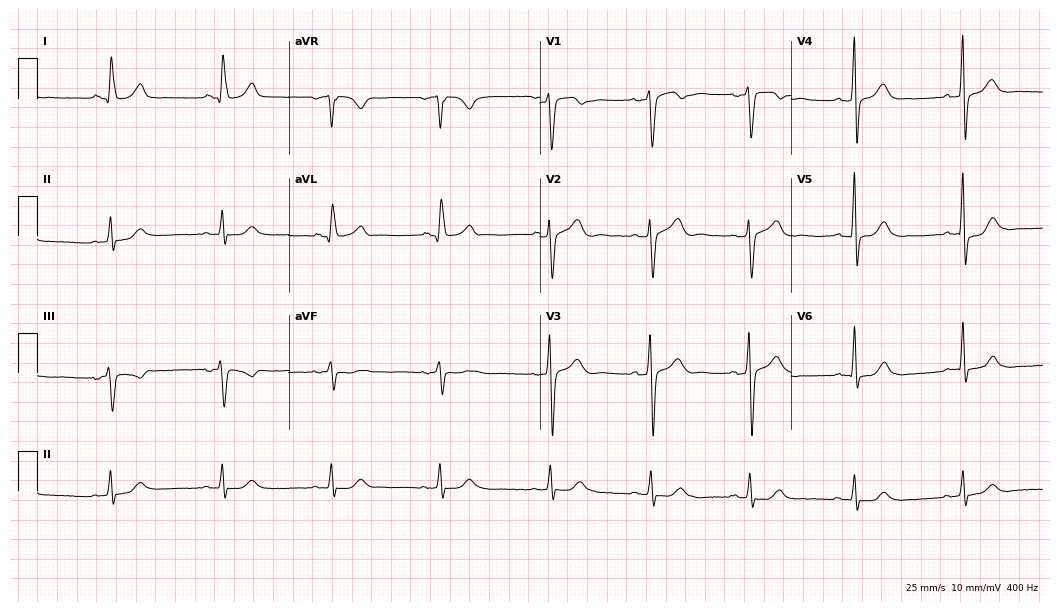
12-lead ECG from a male, 58 years old. Screened for six findings — first-degree AV block, right bundle branch block, left bundle branch block, sinus bradycardia, atrial fibrillation, sinus tachycardia — none is recorded.